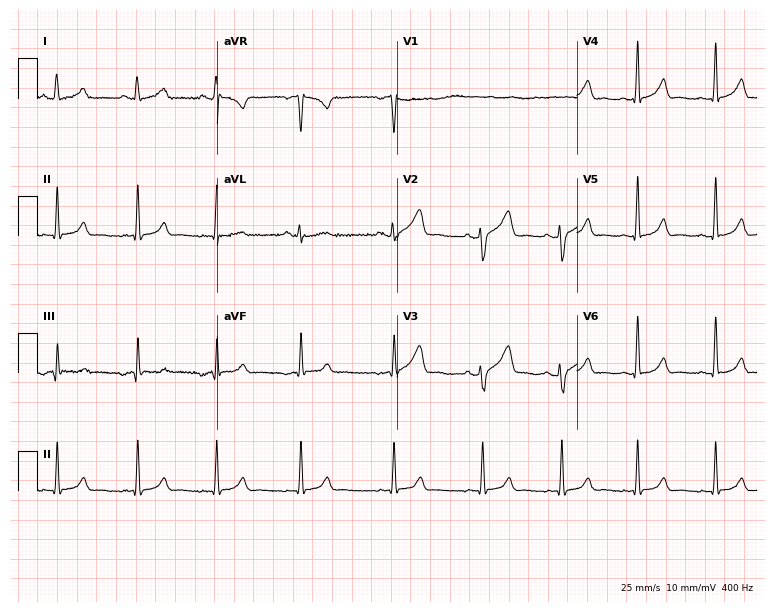
Resting 12-lead electrocardiogram (7.3-second recording at 400 Hz). Patient: a female, 25 years old. None of these six findings is recorded: first-degree AV block, right bundle branch block, left bundle branch block, sinus bradycardia, atrial fibrillation, sinus tachycardia.